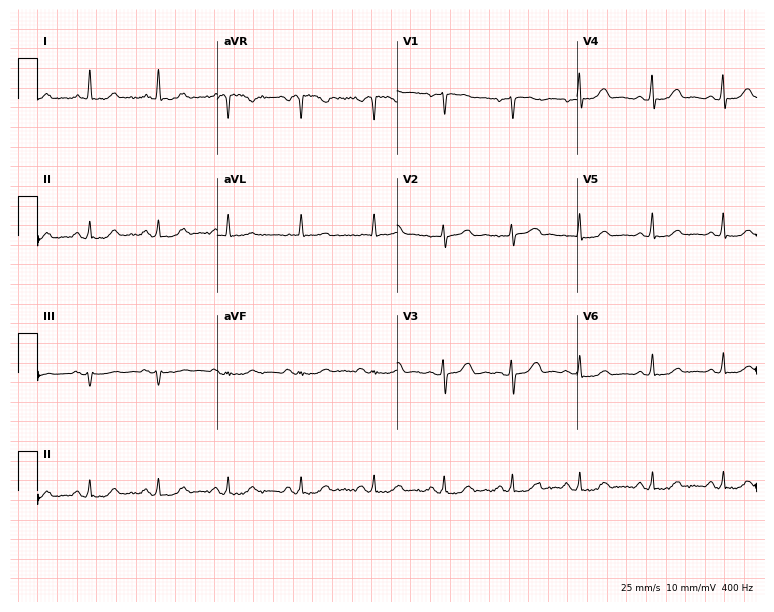
Standard 12-lead ECG recorded from a female patient, 59 years old. None of these six findings is recorded: first-degree AV block, right bundle branch block, left bundle branch block, sinus bradycardia, atrial fibrillation, sinus tachycardia.